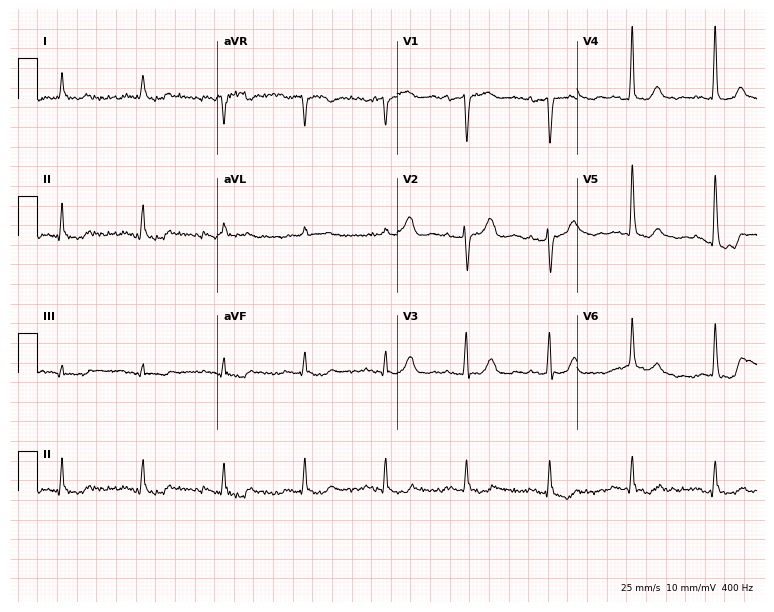
Standard 12-lead ECG recorded from a man, 85 years old. None of these six findings is recorded: first-degree AV block, right bundle branch block (RBBB), left bundle branch block (LBBB), sinus bradycardia, atrial fibrillation (AF), sinus tachycardia.